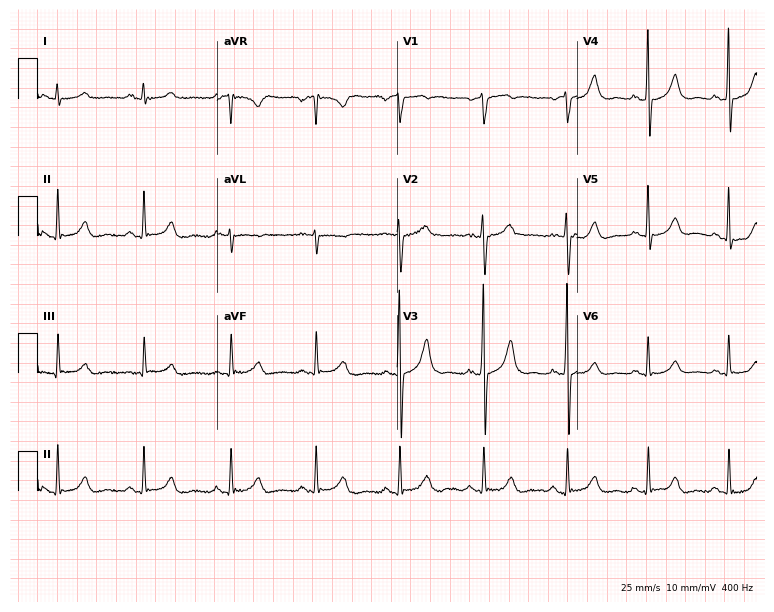
12-lead ECG from a male patient, 61 years old. Screened for six findings — first-degree AV block, right bundle branch block, left bundle branch block, sinus bradycardia, atrial fibrillation, sinus tachycardia — none is recorded.